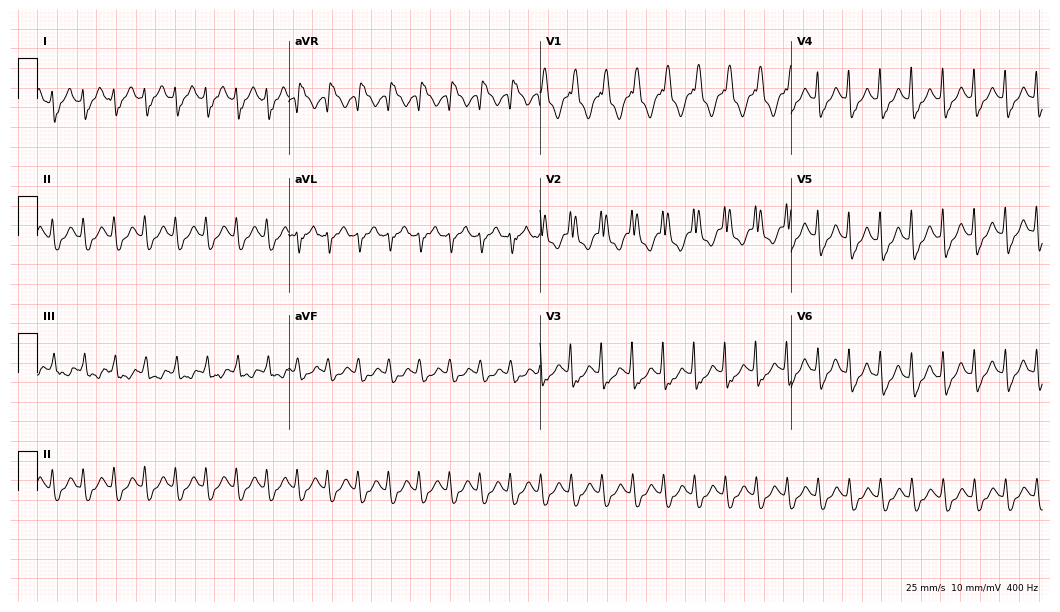
ECG (10.2-second recording at 400 Hz) — a woman, 58 years old. Findings include right bundle branch block, sinus tachycardia (a sinus rate of 100 beats per minute or more).